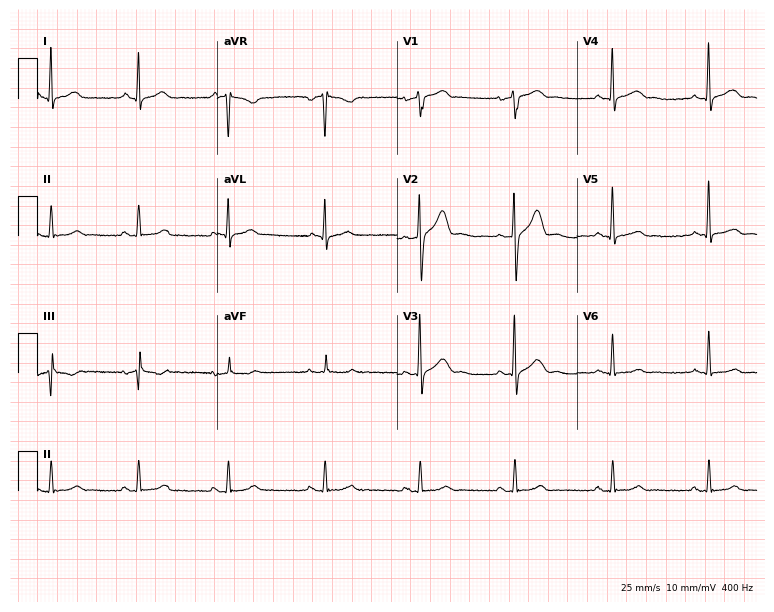
12-lead ECG (7.3-second recording at 400 Hz) from a 53-year-old male patient. Labelled as a normal ECG.